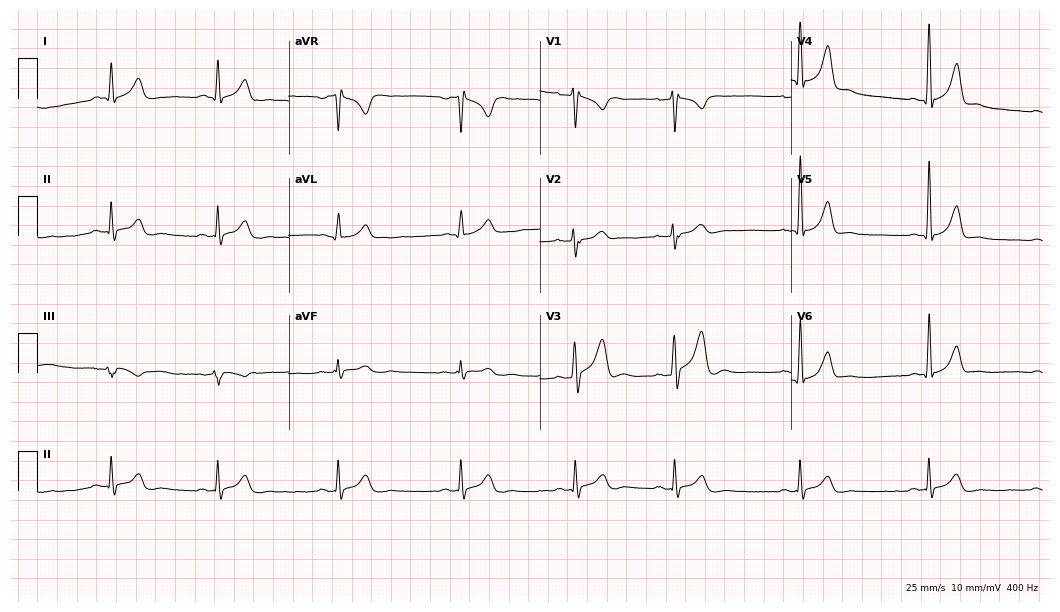
Standard 12-lead ECG recorded from a male patient, 22 years old (10.2-second recording at 400 Hz). Read as a normal ECG.